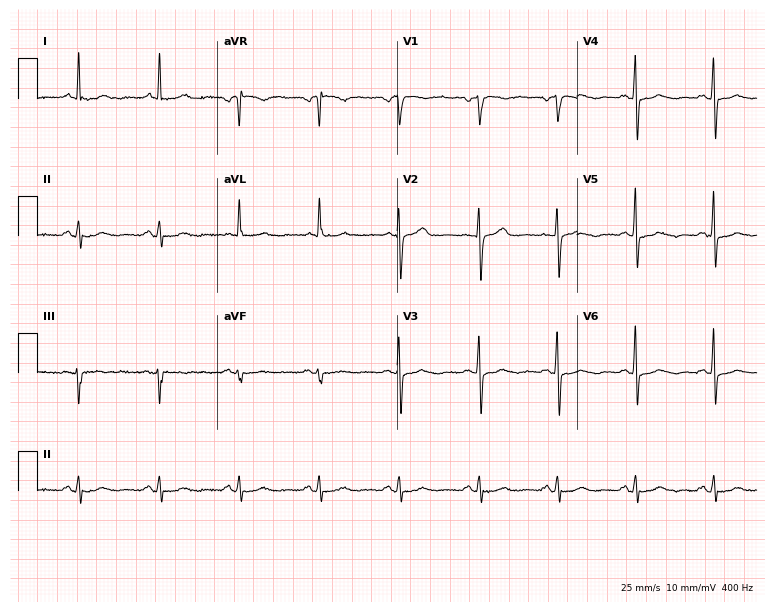
12-lead ECG (7.3-second recording at 400 Hz) from a female, 68 years old. Screened for six findings — first-degree AV block, right bundle branch block (RBBB), left bundle branch block (LBBB), sinus bradycardia, atrial fibrillation (AF), sinus tachycardia — none is recorded. Findings outside these six are not listed.